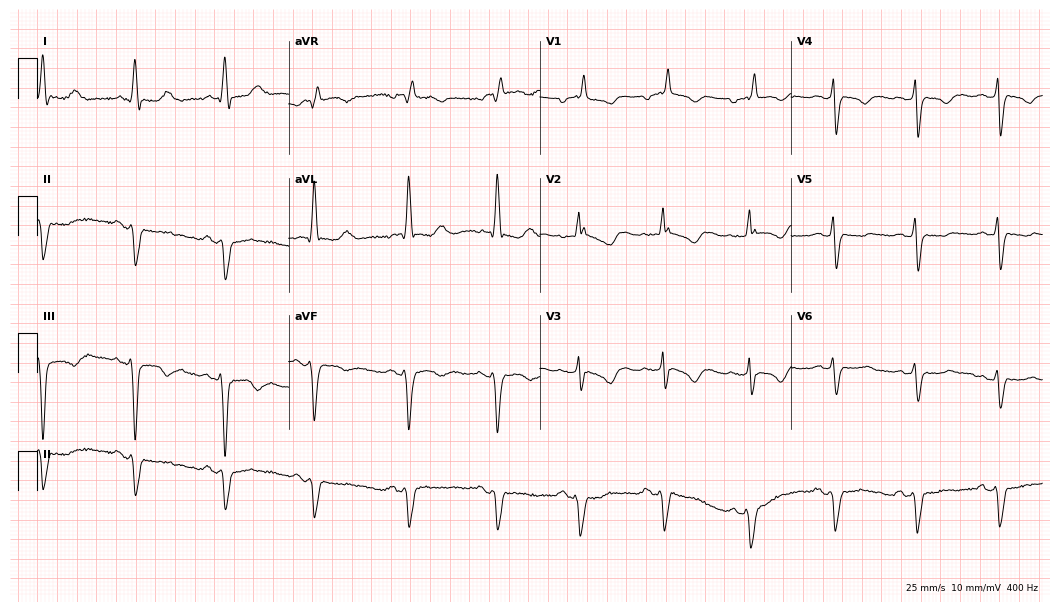
12-lead ECG from a 59-year-old woman (10.2-second recording at 400 Hz). Shows right bundle branch block (RBBB).